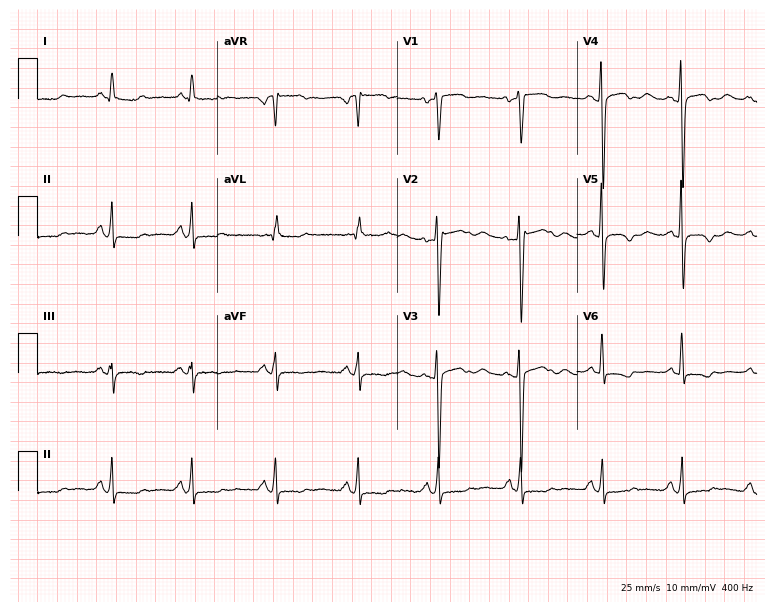
12-lead ECG from a 51-year-old woman. Screened for six findings — first-degree AV block, right bundle branch block, left bundle branch block, sinus bradycardia, atrial fibrillation, sinus tachycardia — none is recorded. Other findings, if any, are not listed.